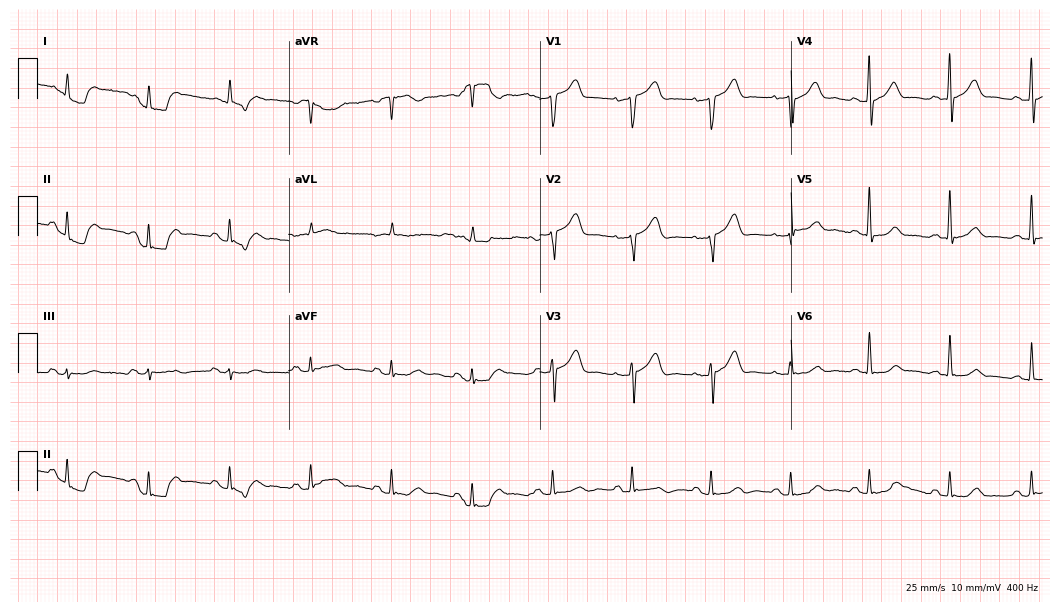
Resting 12-lead electrocardiogram. Patient: a 73-year-old man. Read as a normal ECG.